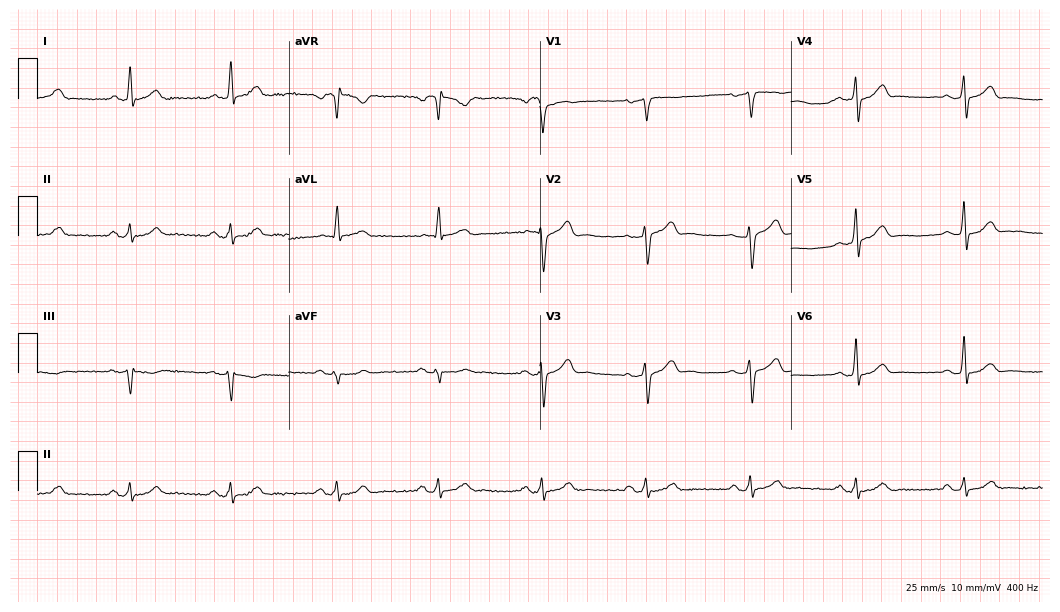
12-lead ECG from a male, 66 years old. Recorded interpretation: within normal limits.